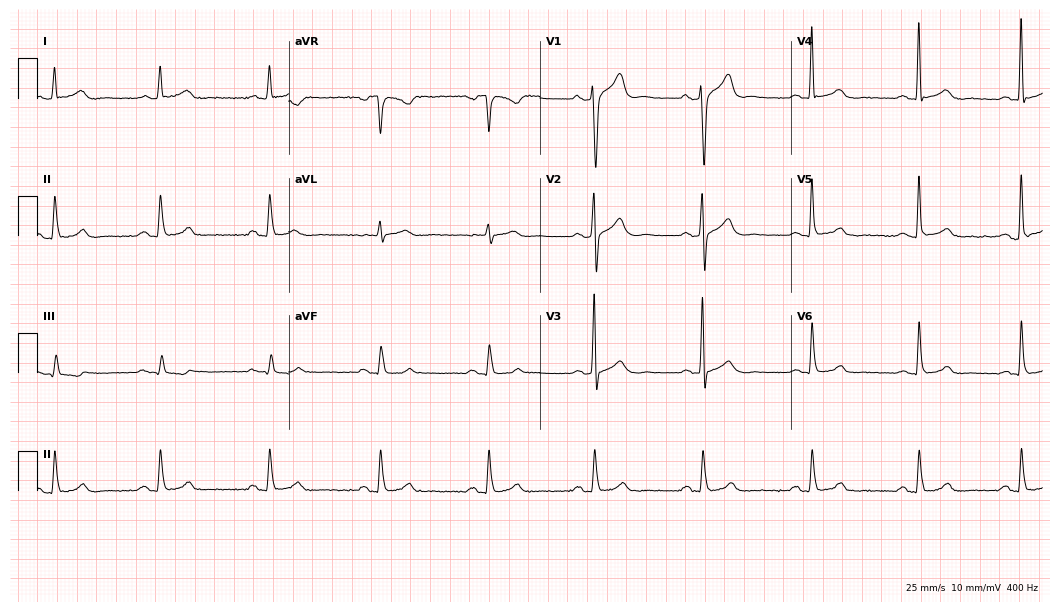
12-lead ECG from a male patient, 56 years old. Recorded interpretation: within normal limits.